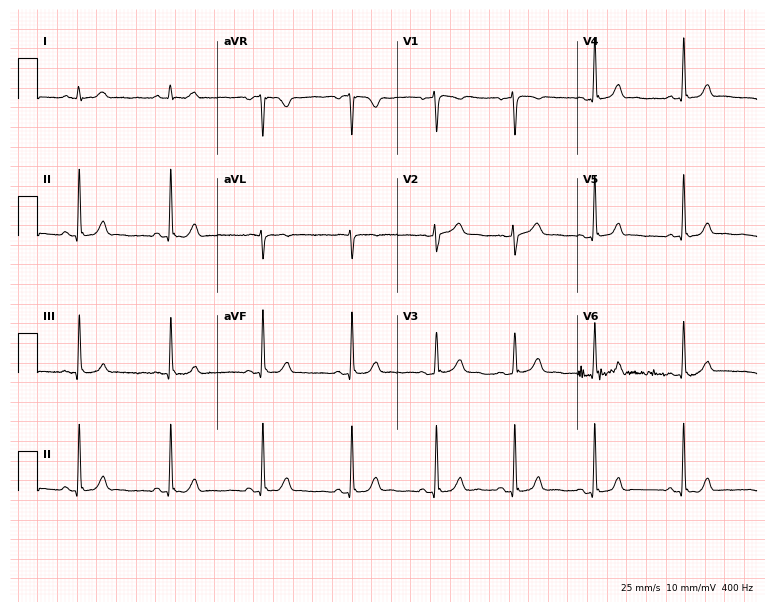
12-lead ECG from a 60-year-old male patient (7.3-second recording at 400 Hz). No first-degree AV block, right bundle branch block, left bundle branch block, sinus bradycardia, atrial fibrillation or sinus tachycardia recorded for this tracing.